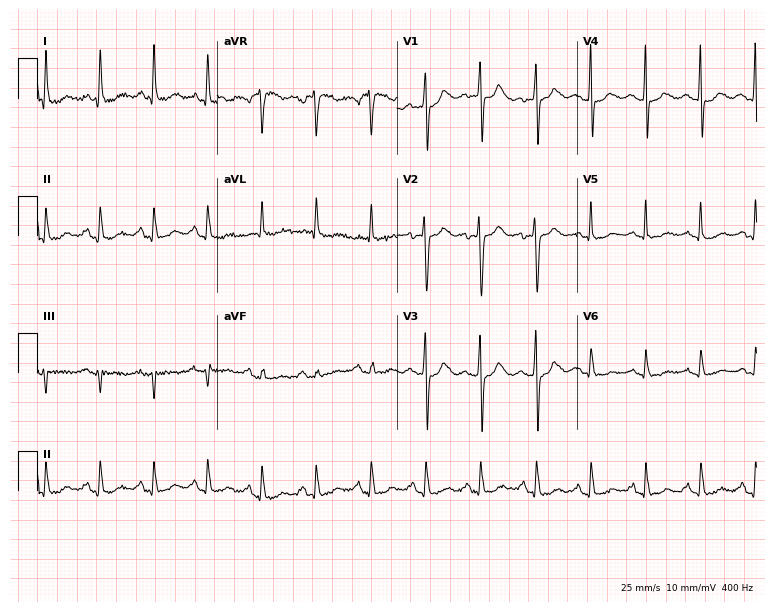
Standard 12-lead ECG recorded from a 55-year-old female patient. The tracing shows sinus tachycardia (a sinus rate of 100 beats per minute or more).